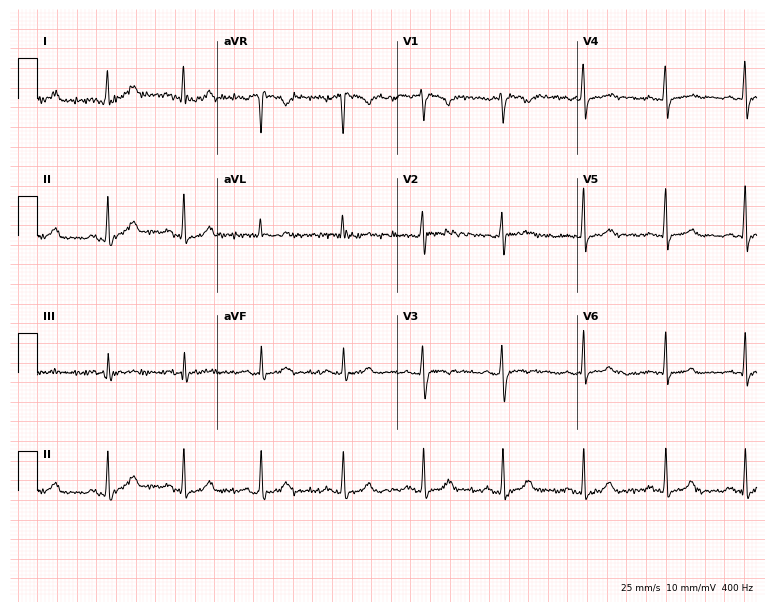
Resting 12-lead electrocardiogram (7.3-second recording at 400 Hz). Patient: a 33-year-old female. Read as a normal ECG.